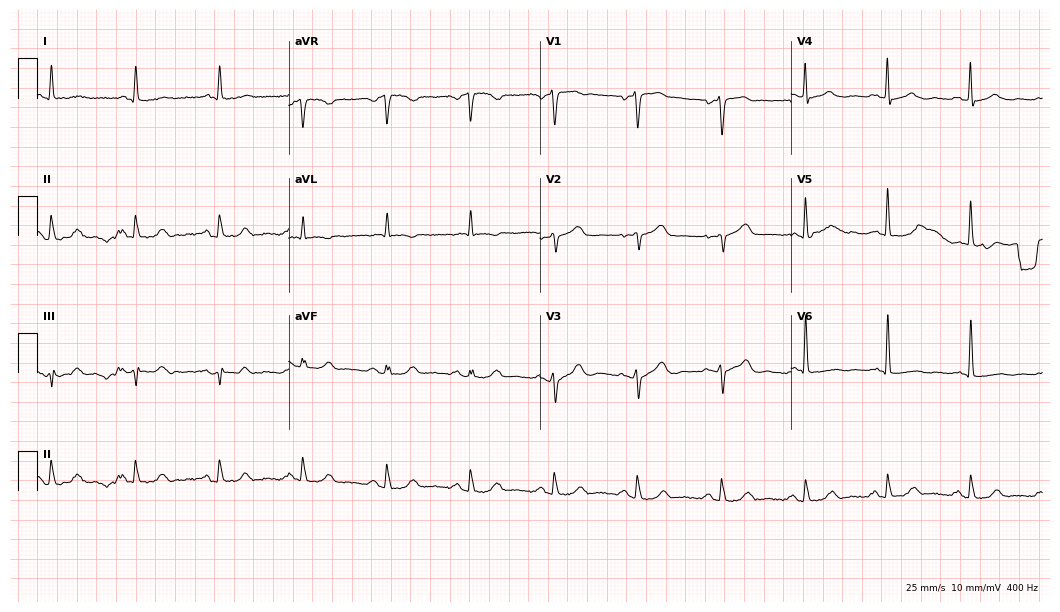
ECG (10.2-second recording at 400 Hz) — an 83-year-old female patient. Screened for six findings — first-degree AV block, right bundle branch block (RBBB), left bundle branch block (LBBB), sinus bradycardia, atrial fibrillation (AF), sinus tachycardia — none is recorded.